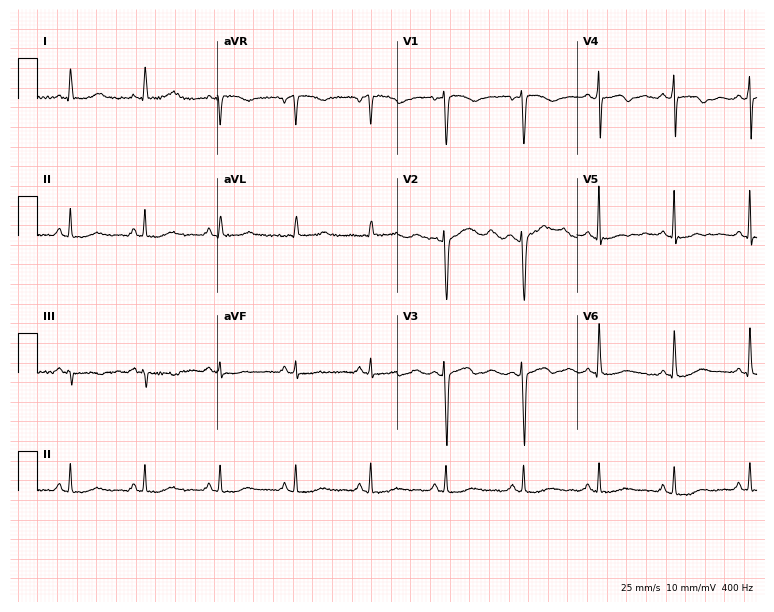
Standard 12-lead ECG recorded from a woman, 45 years old. None of these six findings is recorded: first-degree AV block, right bundle branch block, left bundle branch block, sinus bradycardia, atrial fibrillation, sinus tachycardia.